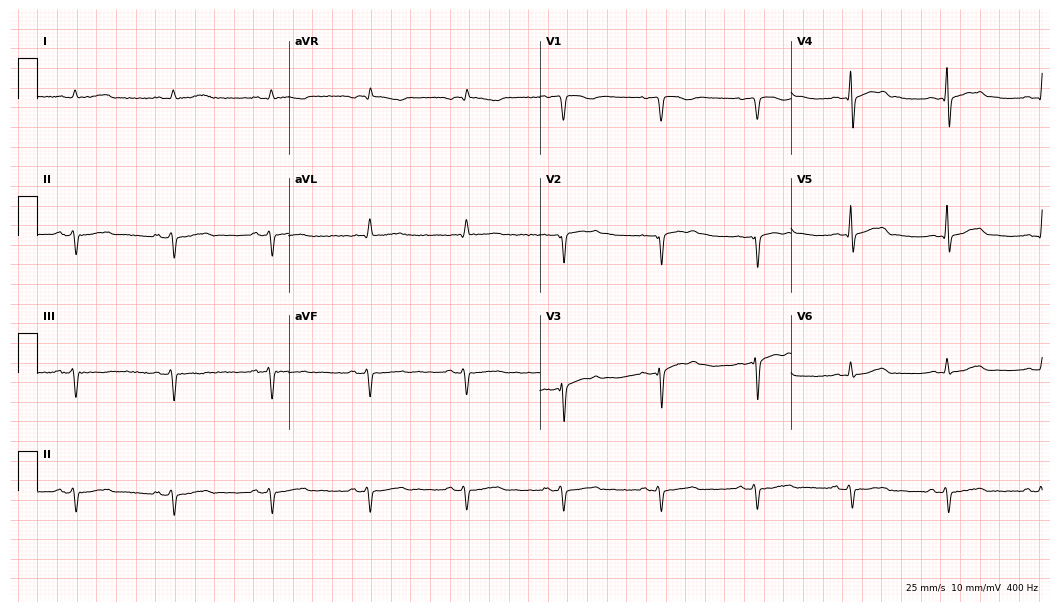
Resting 12-lead electrocardiogram (10.2-second recording at 400 Hz). Patient: a 68-year-old male. None of these six findings is recorded: first-degree AV block, right bundle branch block, left bundle branch block, sinus bradycardia, atrial fibrillation, sinus tachycardia. Findings outside these six are not listed.